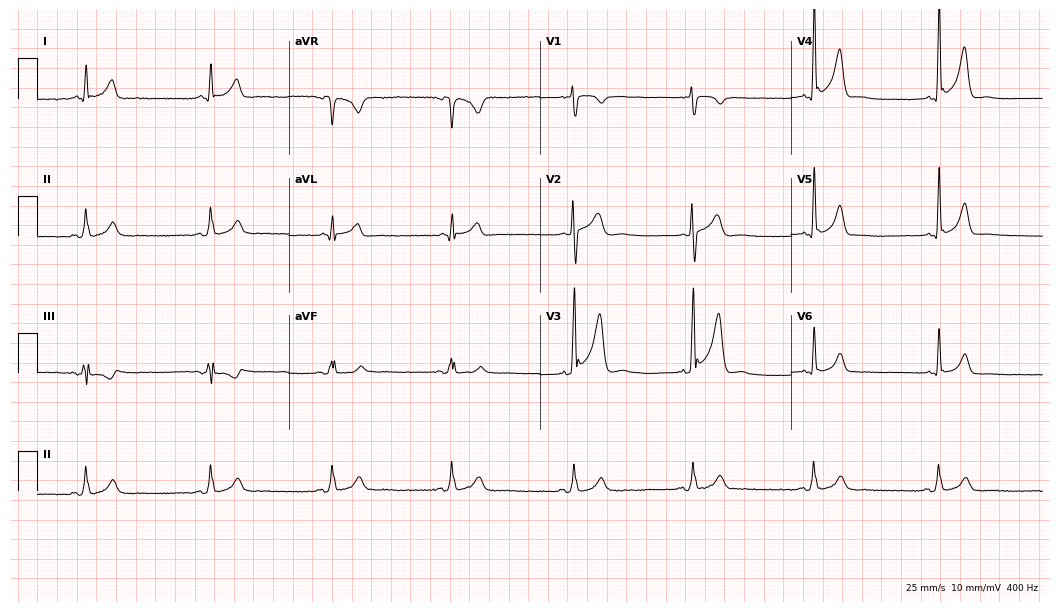
ECG (10.2-second recording at 400 Hz) — a 31-year-old male patient. Findings include sinus bradycardia (a sinus rate of 50 beats per minute or less).